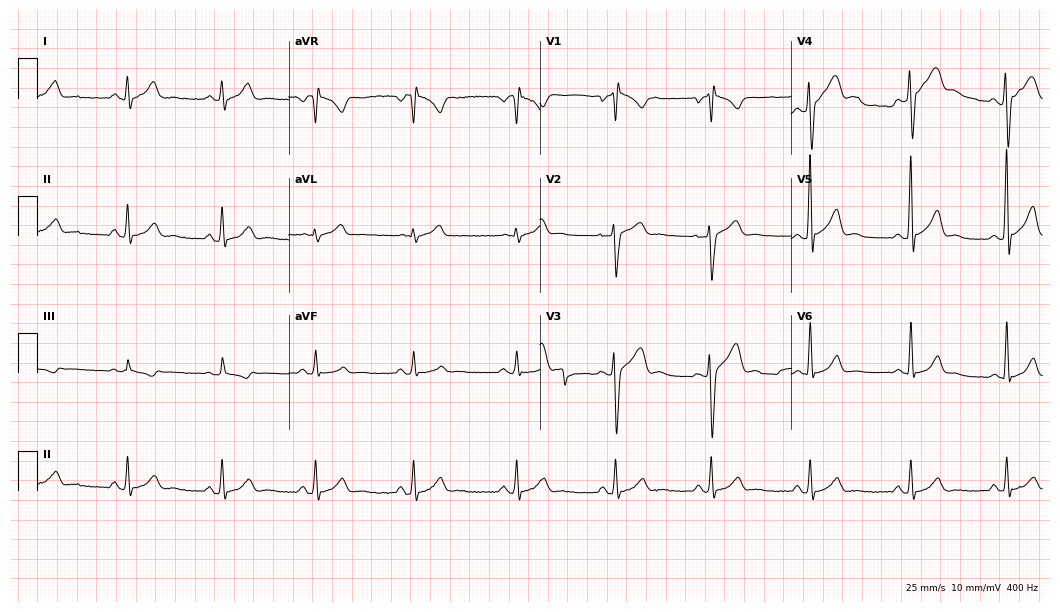
ECG (10.2-second recording at 400 Hz) — a 30-year-old male. Screened for six findings — first-degree AV block, right bundle branch block, left bundle branch block, sinus bradycardia, atrial fibrillation, sinus tachycardia — none is recorded. Findings outside these six are not listed.